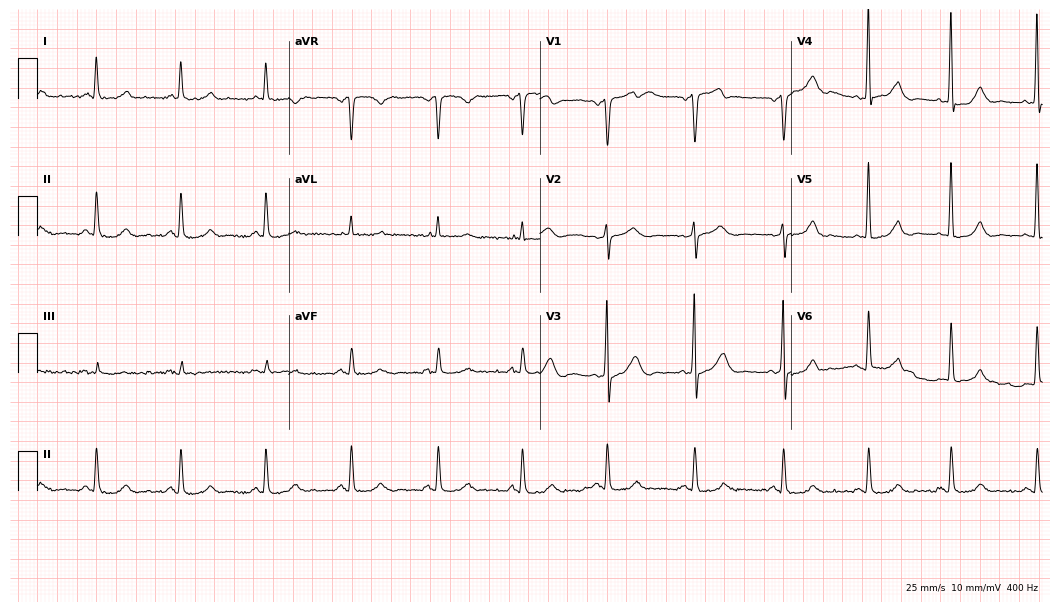
Electrocardiogram (10.2-second recording at 400 Hz), a 45-year-old man. Overall reading on record: normal ECG.